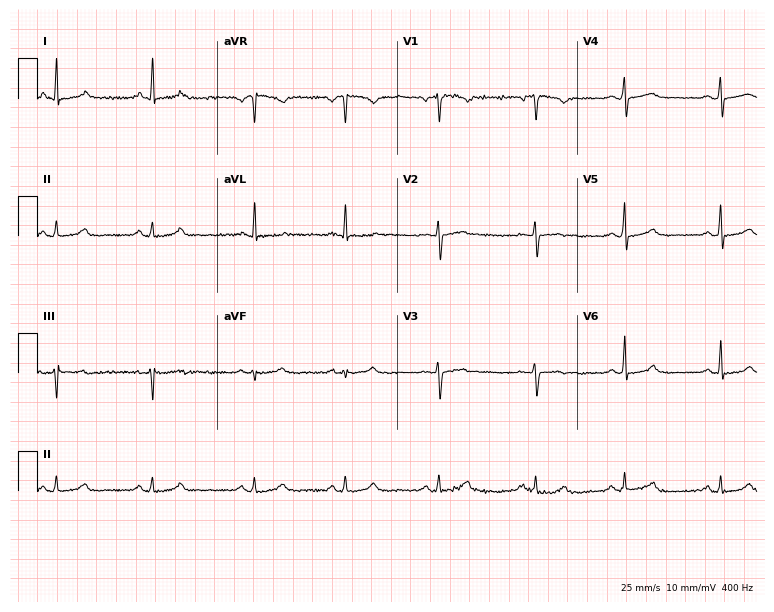
ECG — a female, 47 years old. Screened for six findings — first-degree AV block, right bundle branch block, left bundle branch block, sinus bradycardia, atrial fibrillation, sinus tachycardia — none is recorded. Only these six findings were labelled.